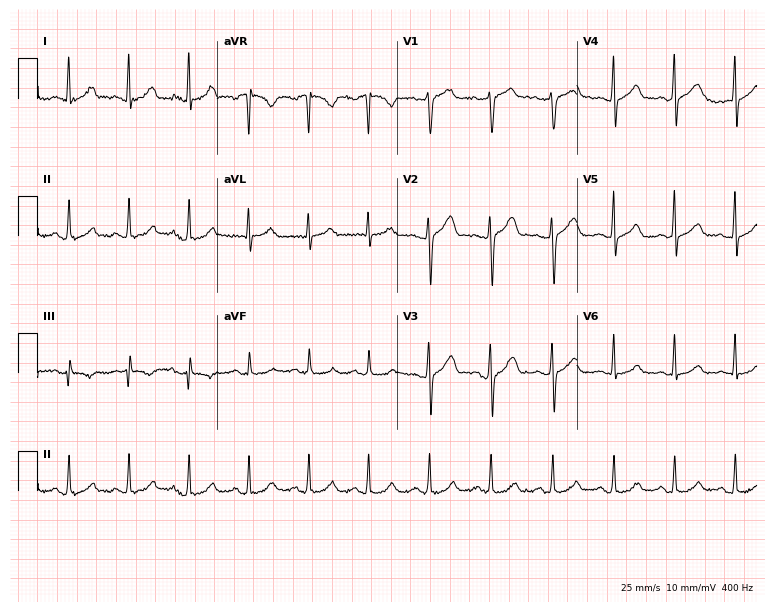
ECG — a 42-year-old male. Screened for six findings — first-degree AV block, right bundle branch block (RBBB), left bundle branch block (LBBB), sinus bradycardia, atrial fibrillation (AF), sinus tachycardia — none is recorded. Findings outside these six are not listed.